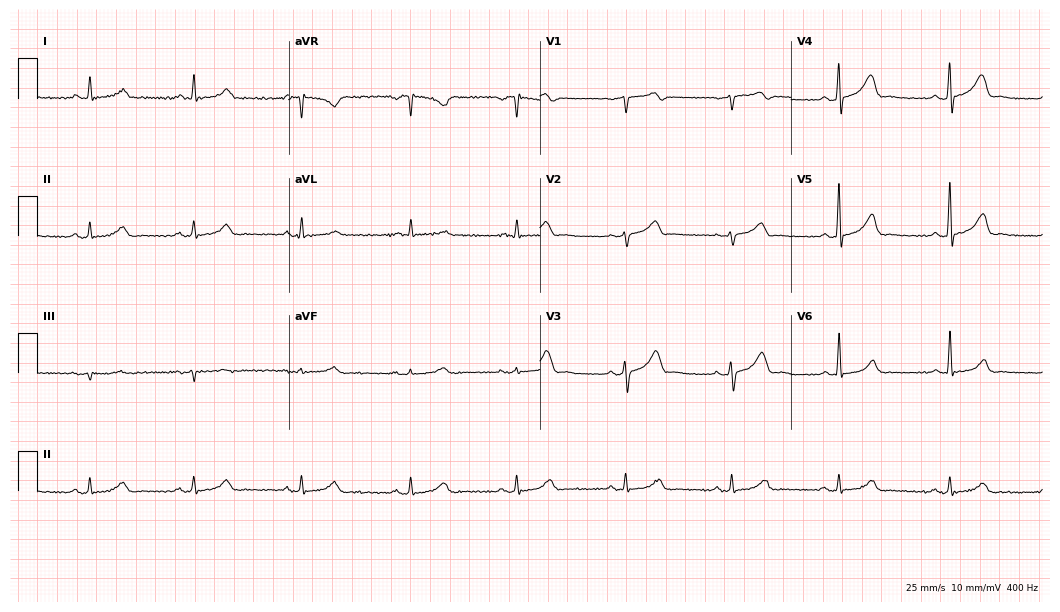
Electrocardiogram, a 59-year-old man. Of the six screened findings (first-degree AV block, right bundle branch block, left bundle branch block, sinus bradycardia, atrial fibrillation, sinus tachycardia), none is recorded. Other findings, if any, are not listed.